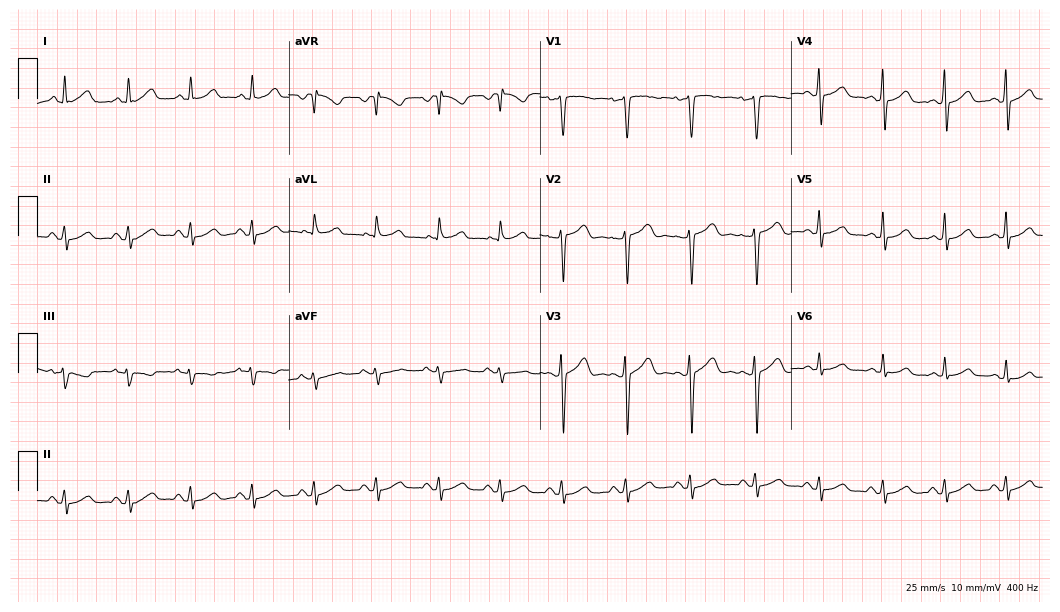
ECG — a 38-year-old female patient. Labelled as a normal ECG.